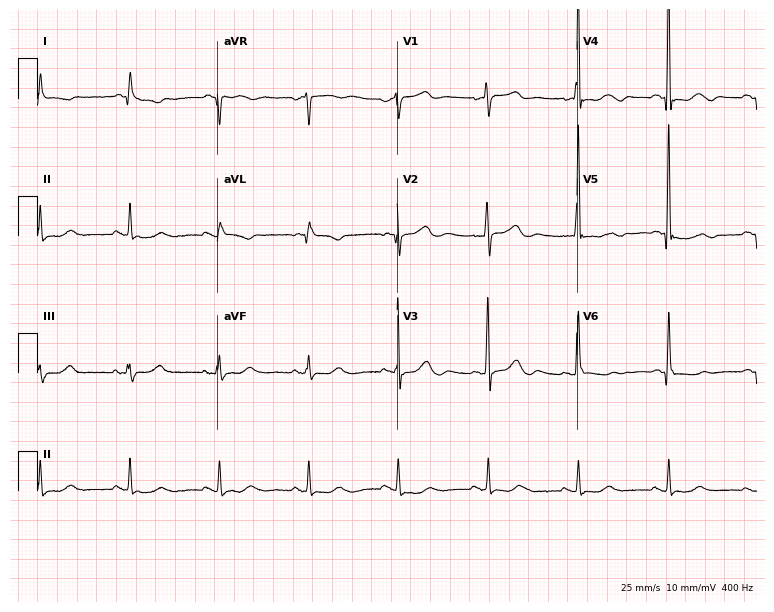
Resting 12-lead electrocardiogram. Patient: a female, 80 years old. None of these six findings is recorded: first-degree AV block, right bundle branch block, left bundle branch block, sinus bradycardia, atrial fibrillation, sinus tachycardia. Only these six findings were labelled.